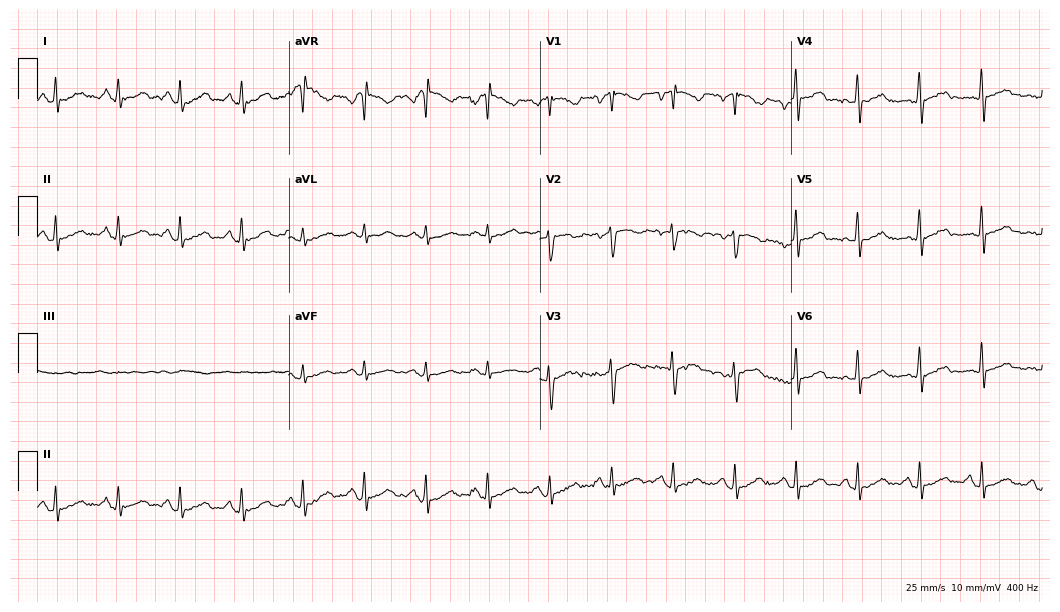
Electrocardiogram (10.2-second recording at 400 Hz), a female patient, 55 years old. Of the six screened findings (first-degree AV block, right bundle branch block (RBBB), left bundle branch block (LBBB), sinus bradycardia, atrial fibrillation (AF), sinus tachycardia), none is recorded.